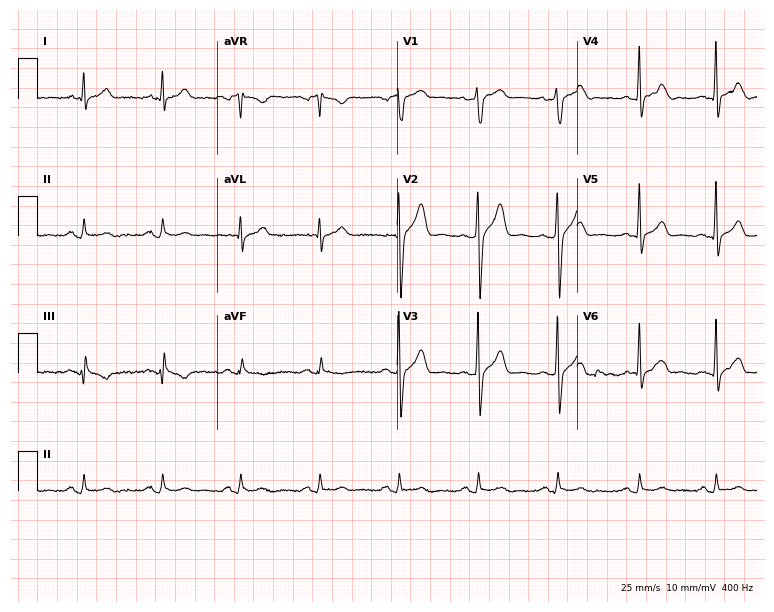
Resting 12-lead electrocardiogram (7.3-second recording at 400 Hz). Patient: a man, 34 years old. None of these six findings is recorded: first-degree AV block, right bundle branch block, left bundle branch block, sinus bradycardia, atrial fibrillation, sinus tachycardia. Findings outside these six are not listed.